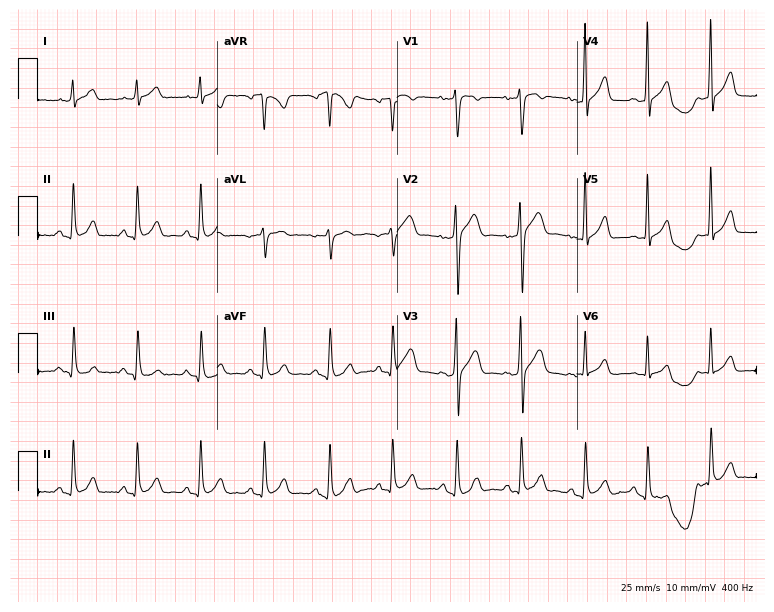
12-lead ECG from a male, 26 years old. Screened for six findings — first-degree AV block, right bundle branch block, left bundle branch block, sinus bradycardia, atrial fibrillation, sinus tachycardia — none is recorded. Other findings, if any, are not listed.